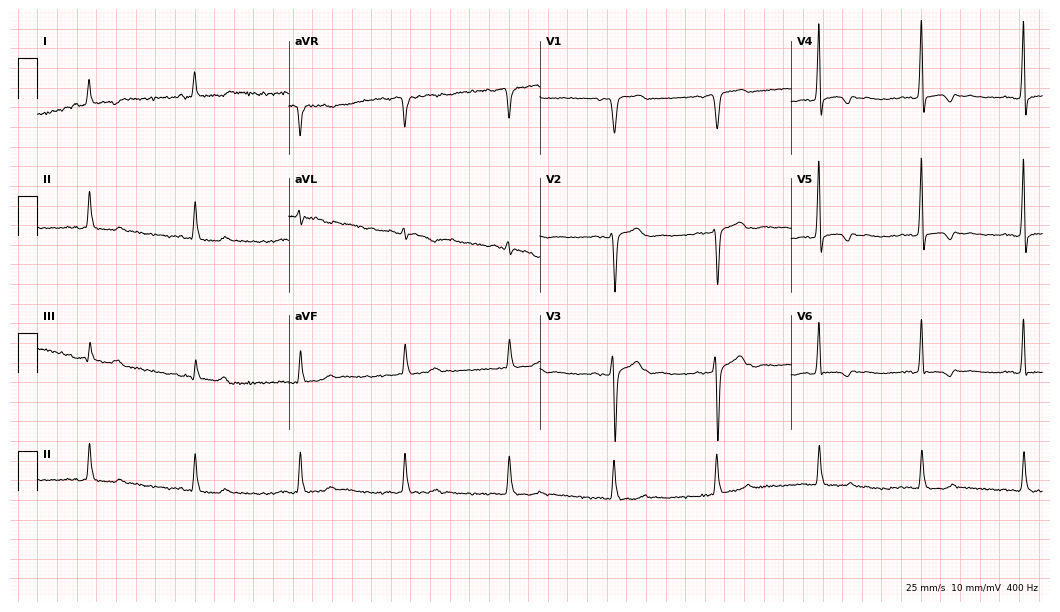
Standard 12-lead ECG recorded from a 63-year-old male patient. None of these six findings is recorded: first-degree AV block, right bundle branch block, left bundle branch block, sinus bradycardia, atrial fibrillation, sinus tachycardia. Other findings, if any, are not listed.